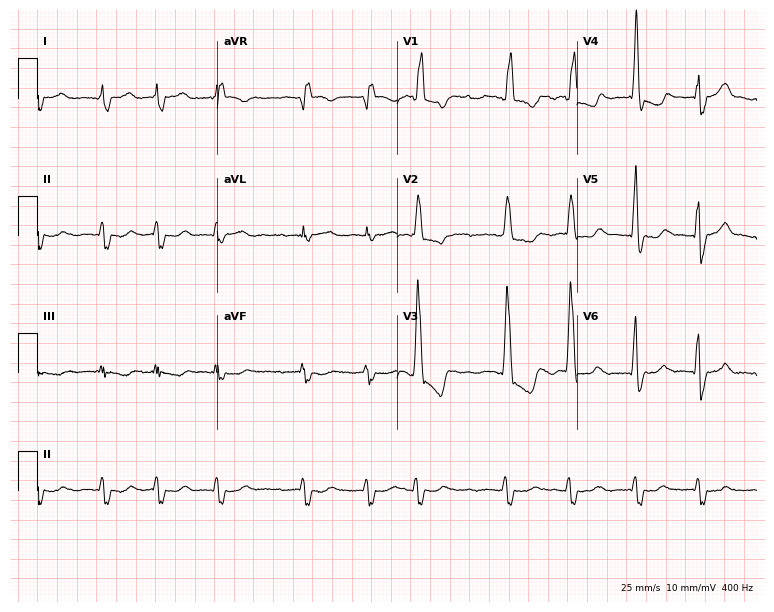
ECG (7.3-second recording at 400 Hz) — a 67-year-old male patient. Findings include right bundle branch block (RBBB), atrial fibrillation (AF).